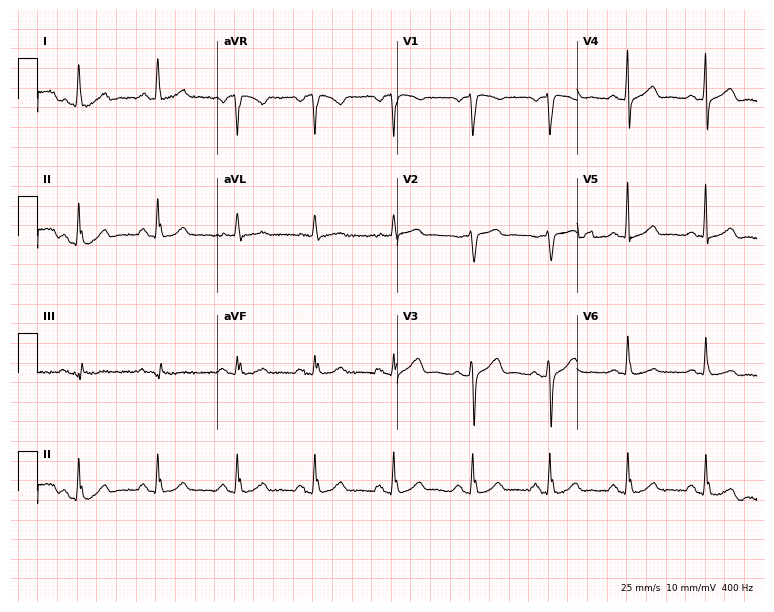
12-lead ECG from a female patient, 68 years old. Labelled as a normal ECG.